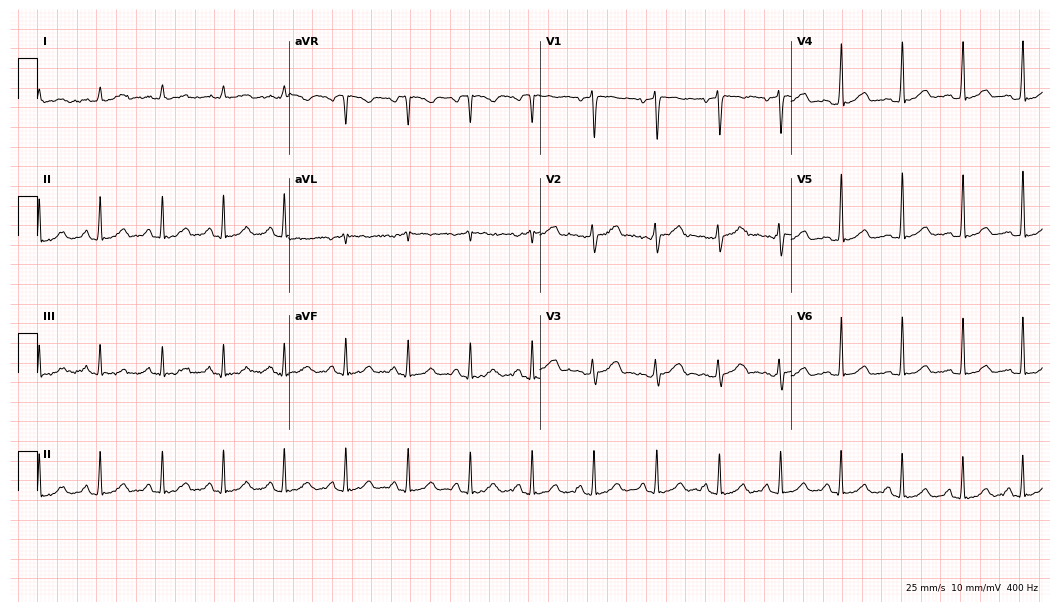
ECG (10.2-second recording at 400 Hz) — a female patient, 29 years old. Labelled as a normal ECG.